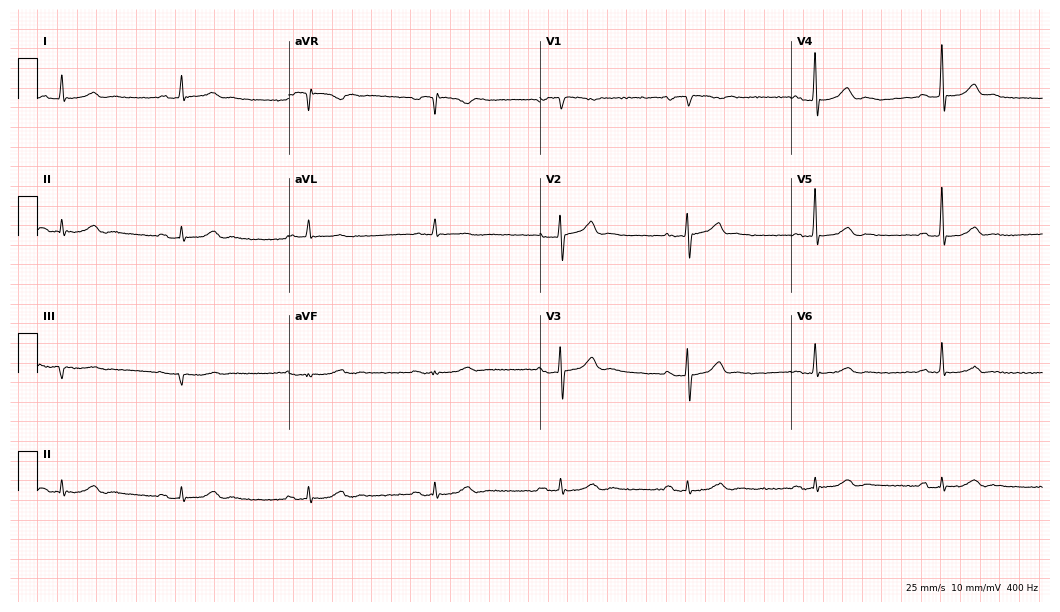
Standard 12-lead ECG recorded from a male, 81 years old (10.2-second recording at 400 Hz). The tracing shows first-degree AV block, sinus bradycardia (a sinus rate of 50 beats per minute or less).